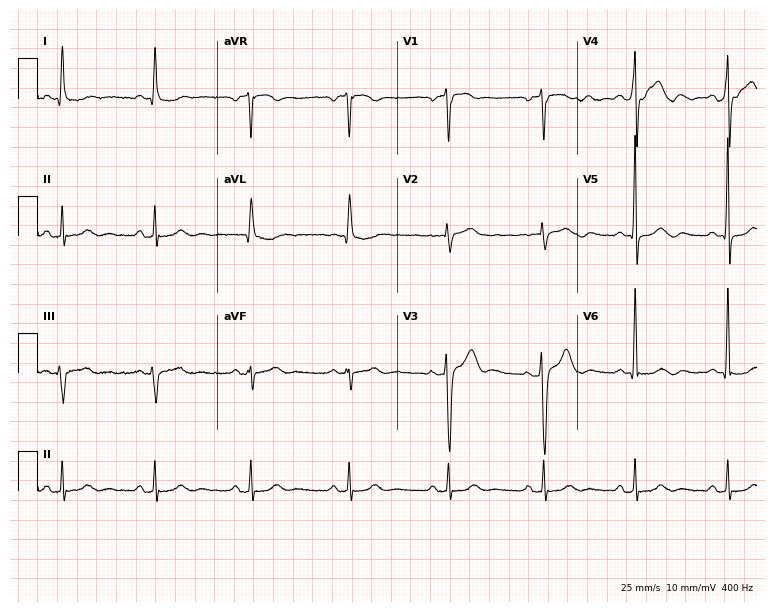
Electrocardiogram, a male, 60 years old. Of the six screened findings (first-degree AV block, right bundle branch block, left bundle branch block, sinus bradycardia, atrial fibrillation, sinus tachycardia), none is recorded.